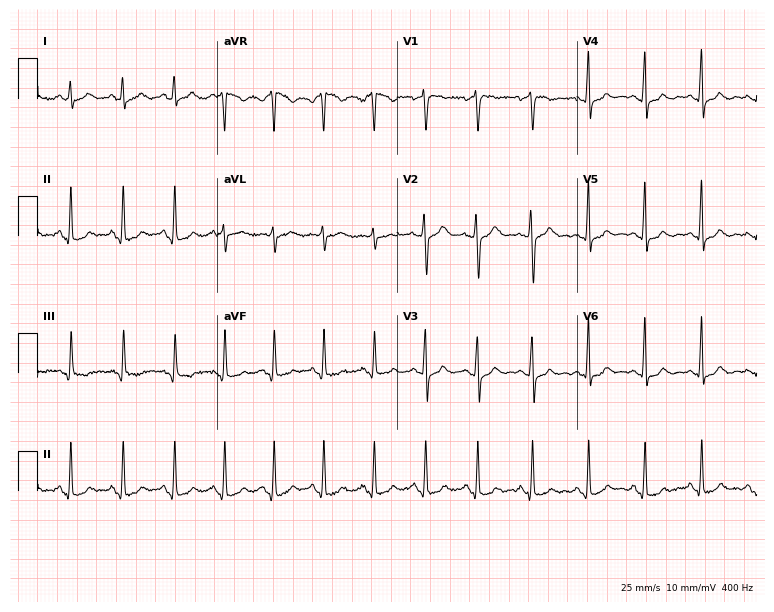
Electrocardiogram, a 30-year-old female patient. Of the six screened findings (first-degree AV block, right bundle branch block, left bundle branch block, sinus bradycardia, atrial fibrillation, sinus tachycardia), none is recorded. Other findings, if any, are not listed.